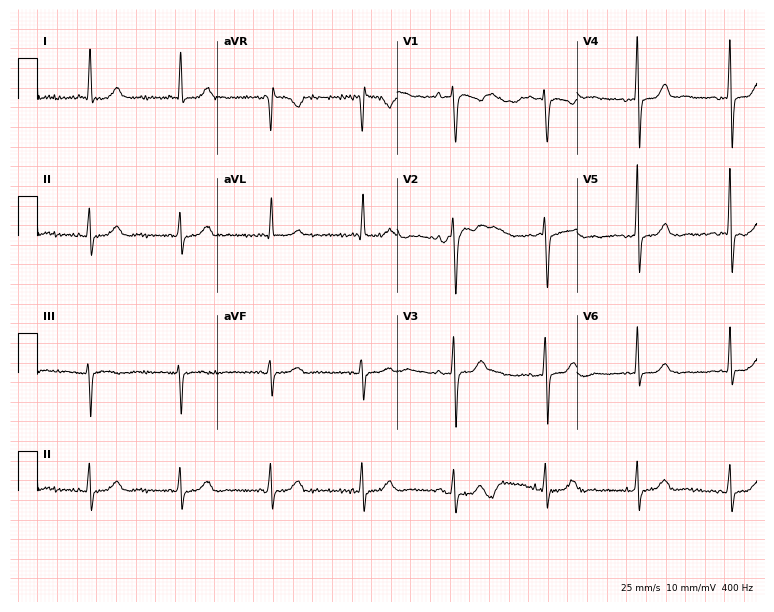
12-lead ECG from a 66-year-old woman (7.3-second recording at 400 Hz). No first-degree AV block, right bundle branch block, left bundle branch block, sinus bradycardia, atrial fibrillation or sinus tachycardia recorded for this tracing.